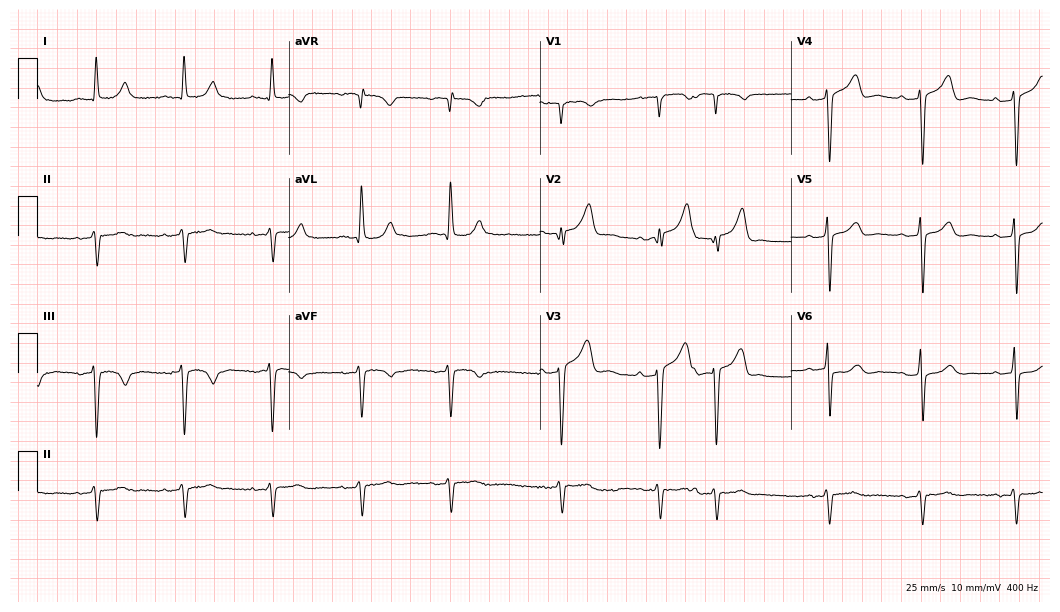
Resting 12-lead electrocardiogram (10.2-second recording at 400 Hz). Patient: an 83-year-old male. None of these six findings is recorded: first-degree AV block, right bundle branch block, left bundle branch block, sinus bradycardia, atrial fibrillation, sinus tachycardia.